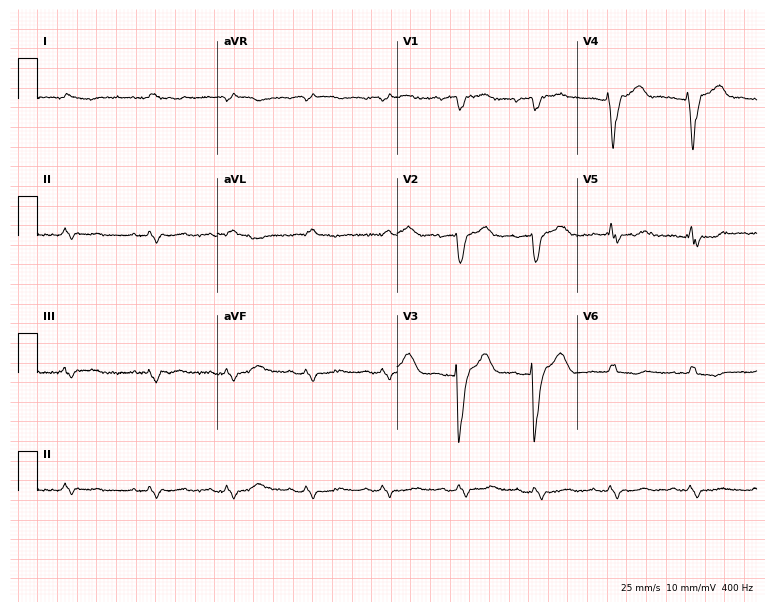
ECG — a male patient, 83 years old. Screened for six findings — first-degree AV block, right bundle branch block, left bundle branch block, sinus bradycardia, atrial fibrillation, sinus tachycardia — none is recorded. Other findings, if any, are not listed.